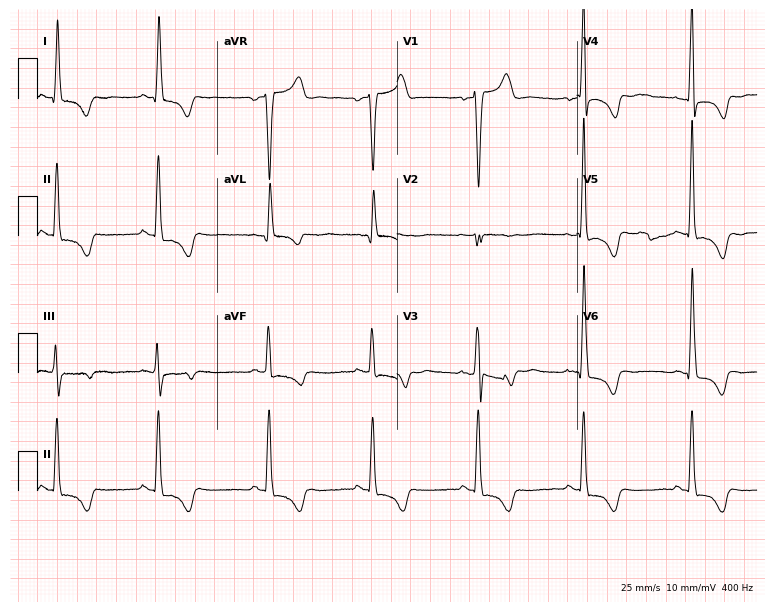
12-lead ECG from a male, 50 years old (7.3-second recording at 400 Hz). Recorded interpretation: within normal limits.